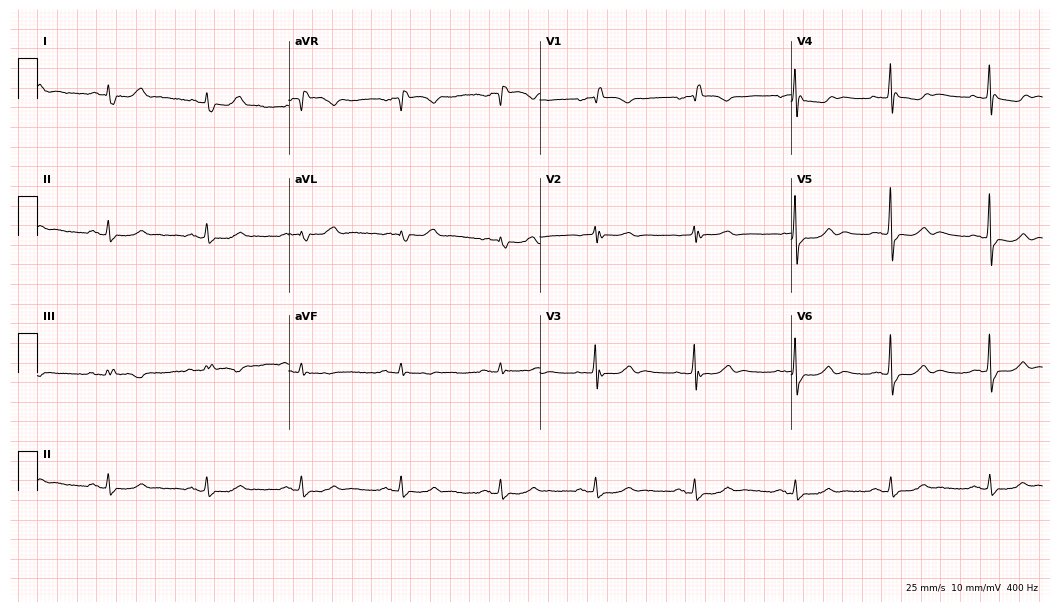
ECG (10.2-second recording at 400 Hz) — a female patient, 81 years old. Findings include right bundle branch block.